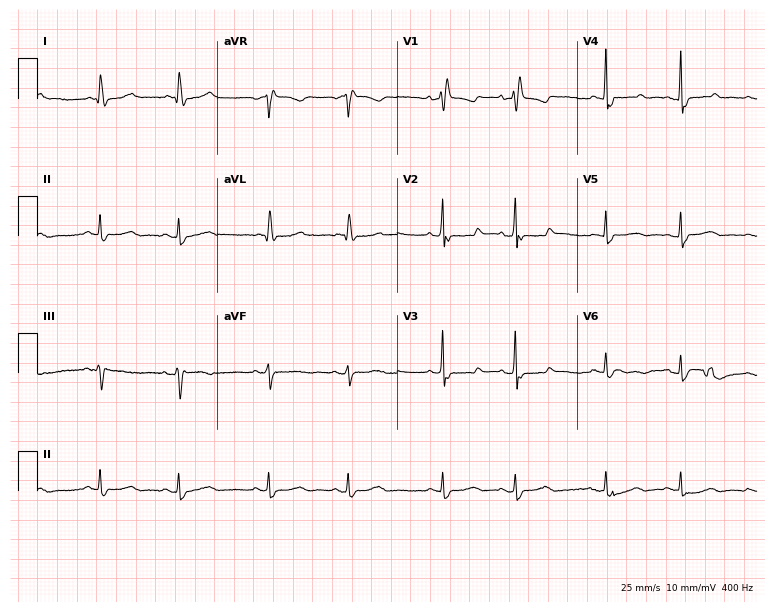
12-lead ECG from a female, 72 years old (7.3-second recording at 400 Hz). Shows right bundle branch block (RBBB).